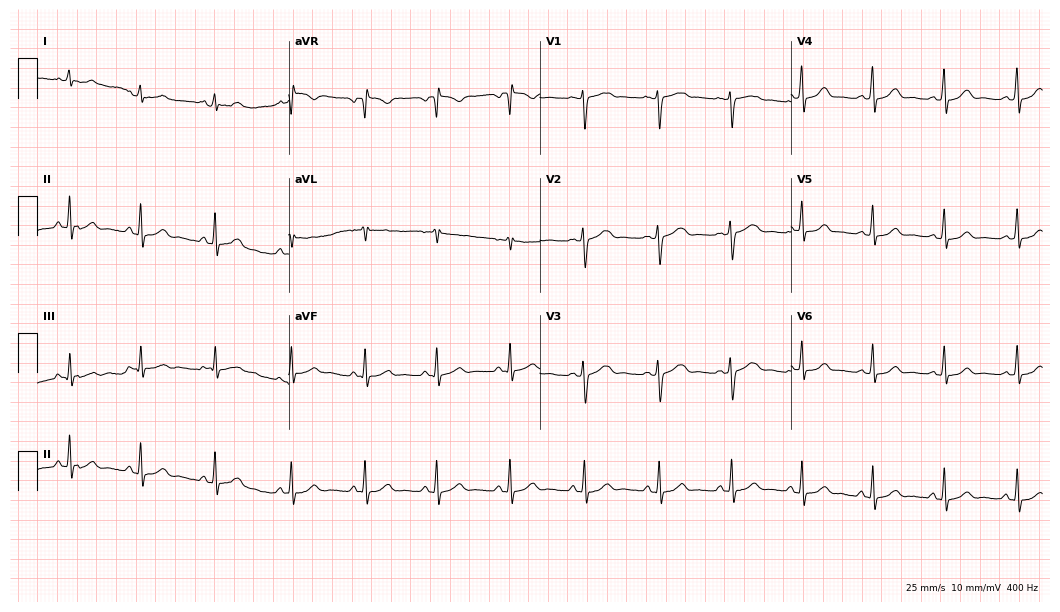
Resting 12-lead electrocardiogram. Patient: a woman, 31 years old. None of these six findings is recorded: first-degree AV block, right bundle branch block, left bundle branch block, sinus bradycardia, atrial fibrillation, sinus tachycardia.